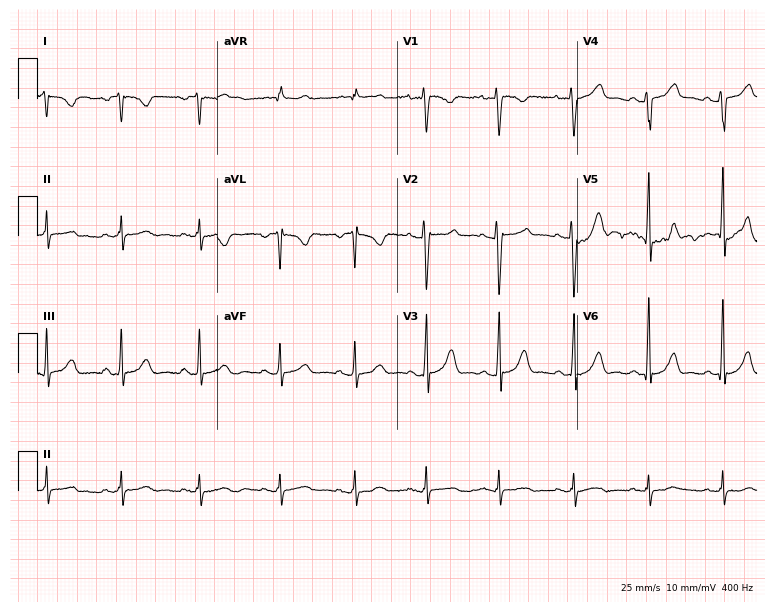
12-lead ECG from a female, 24 years old (7.3-second recording at 400 Hz). Recorded interpretation: within normal limits.